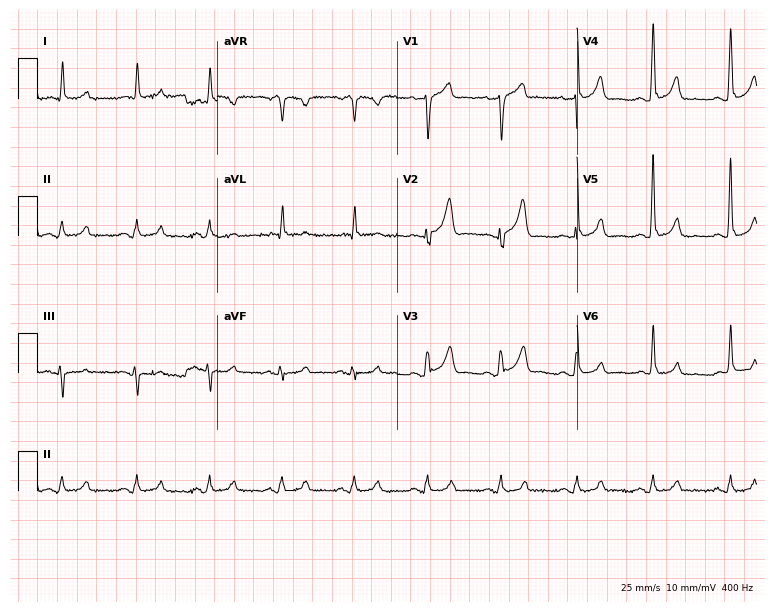
12-lead ECG from a female, 54 years old. Recorded interpretation: within normal limits.